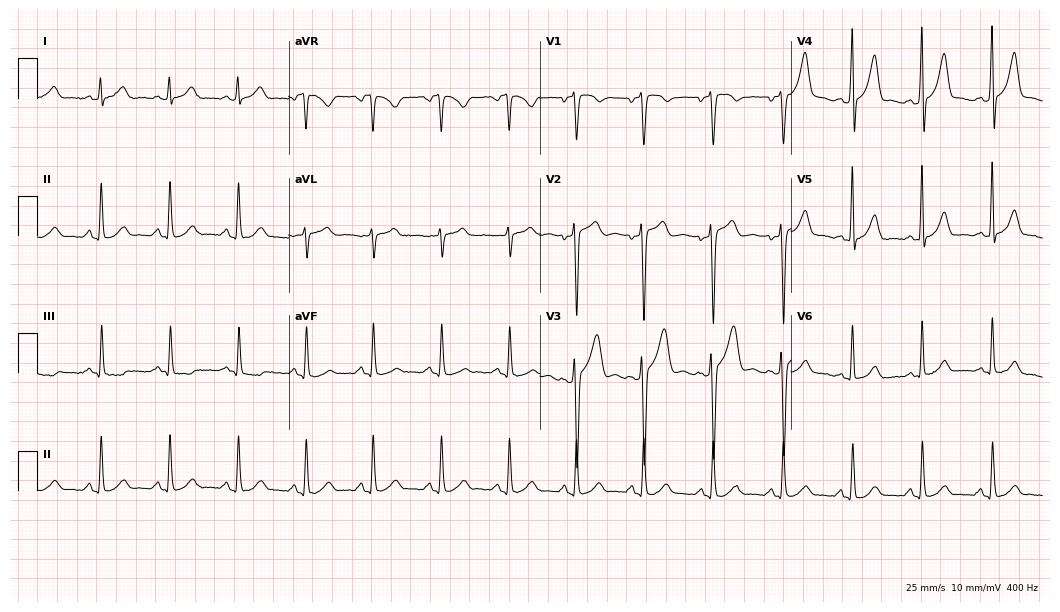
Standard 12-lead ECG recorded from a male, 32 years old. None of these six findings is recorded: first-degree AV block, right bundle branch block, left bundle branch block, sinus bradycardia, atrial fibrillation, sinus tachycardia.